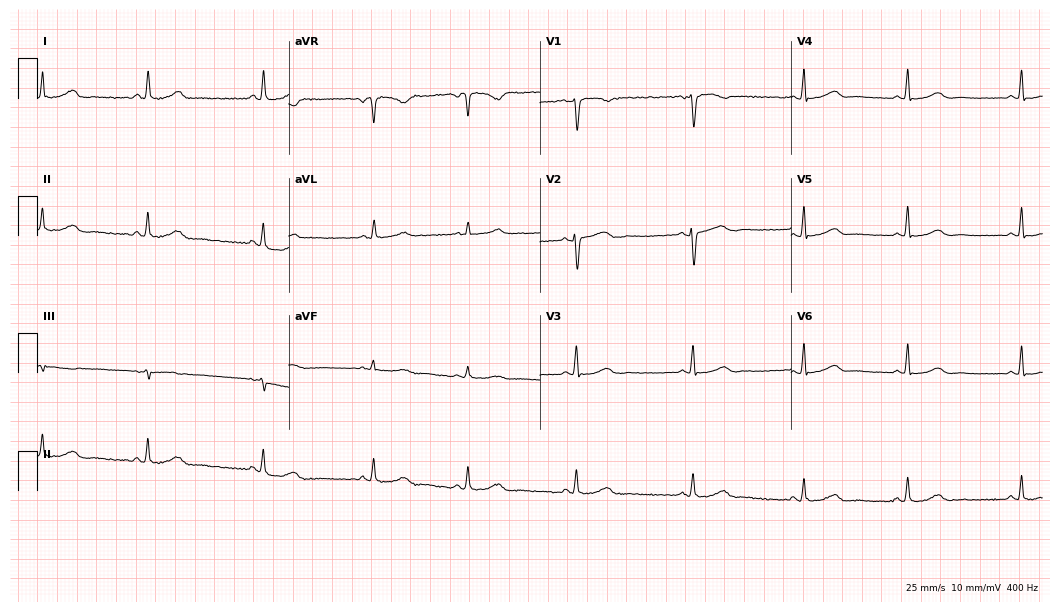
Electrocardiogram (10.2-second recording at 400 Hz), a 46-year-old woman. Of the six screened findings (first-degree AV block, right bundle branch block, left bundle branch block, sinus bradycardia, atrial fibrillation, sinus tachycardia), none is recorded. Findings outside these six are not listed.